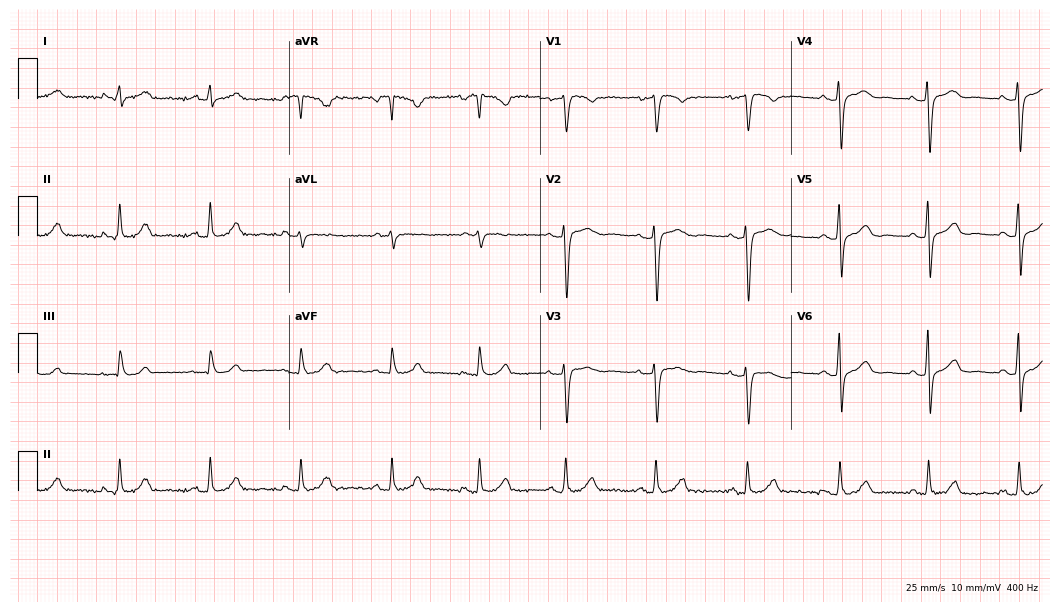
Electrocardiogram, a 51-year-old woman. Overall reading on record: normal ECG.